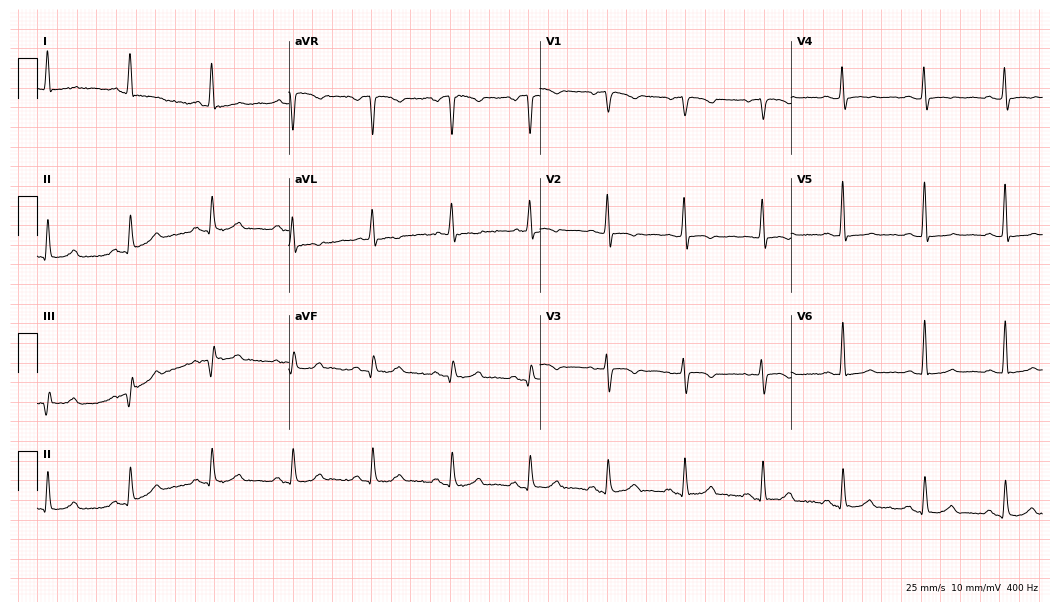
12-lead ECG from a 71-year-old female (10.2-second recording at 400 Hz). No first-degree AV block, right bundle branch block, left bundle branch block, sinus bradycardia, atrial fibrillation or sinus tachycardia recorded for this tracing.